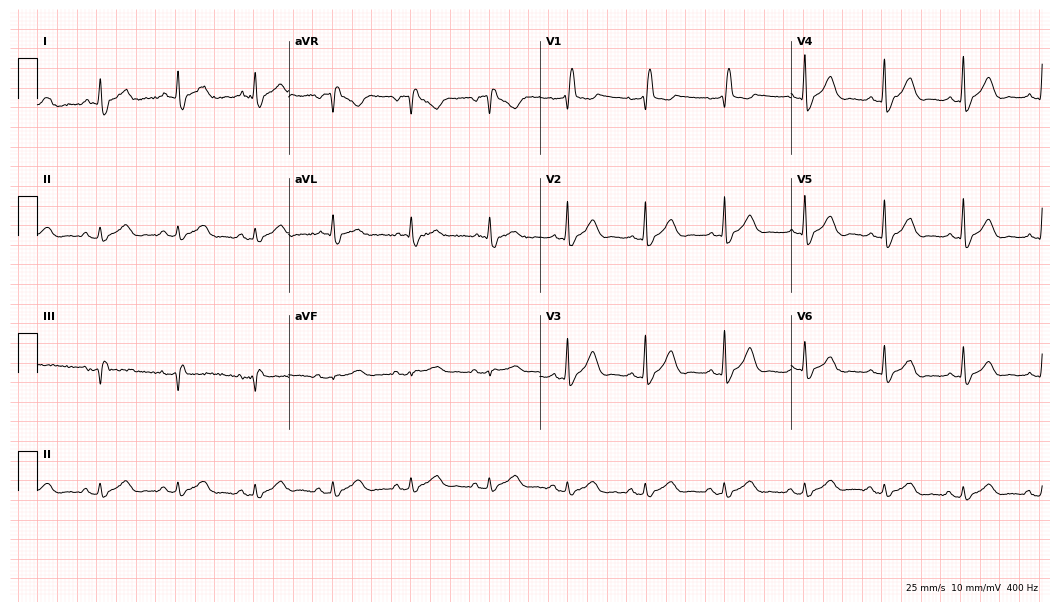
ECG — a male, 84 years old. Screened for six findings — first-degree AV block, right bundle branch block (RBBB), left bundle branch block (LBBB), sinus bradycardia, atrial fibrillation (AF), sinus tachycardia — none is recorded. Other findings, if any, are not listed.